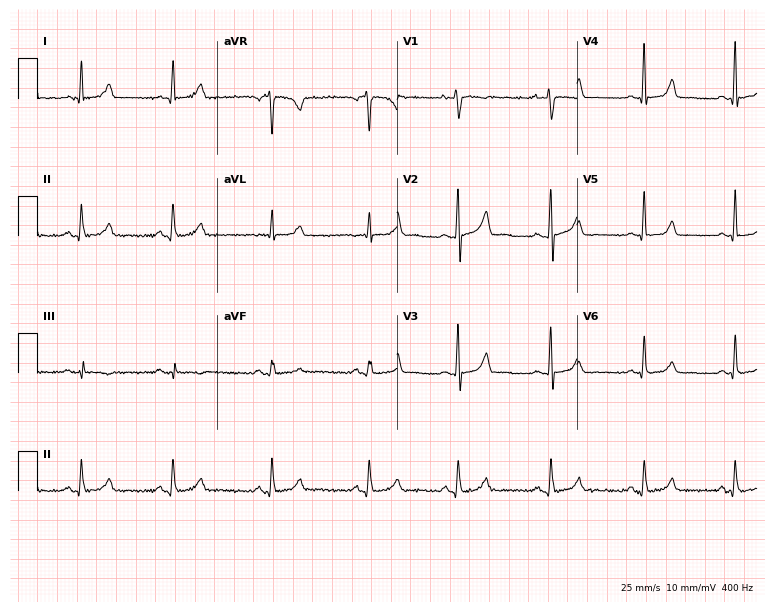
Standard 12-lead ECG recorded from a female, 32 years old (7.3-second recording at 400 Hz). Read as a normal ECG.